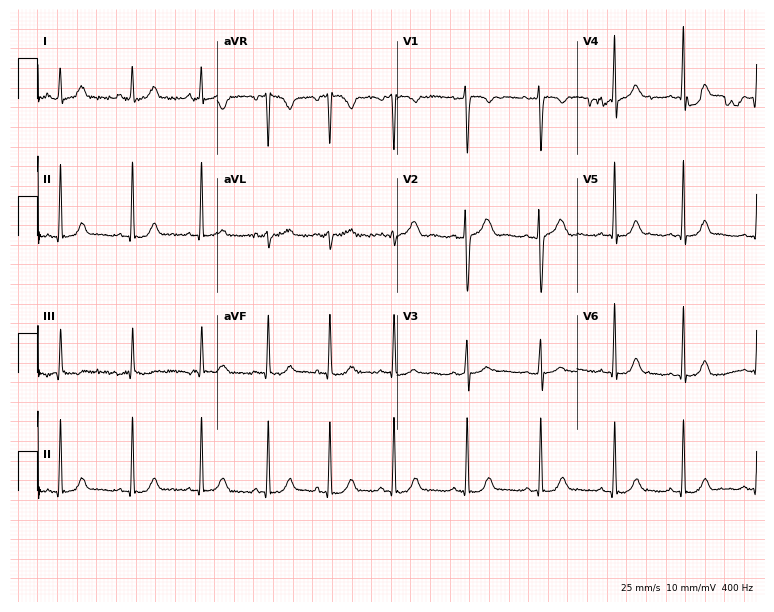
Electrocardiogram (7.3-second recording at 400 Hz), a female patient, 17 years old. Overall reading on record: normal ECG.